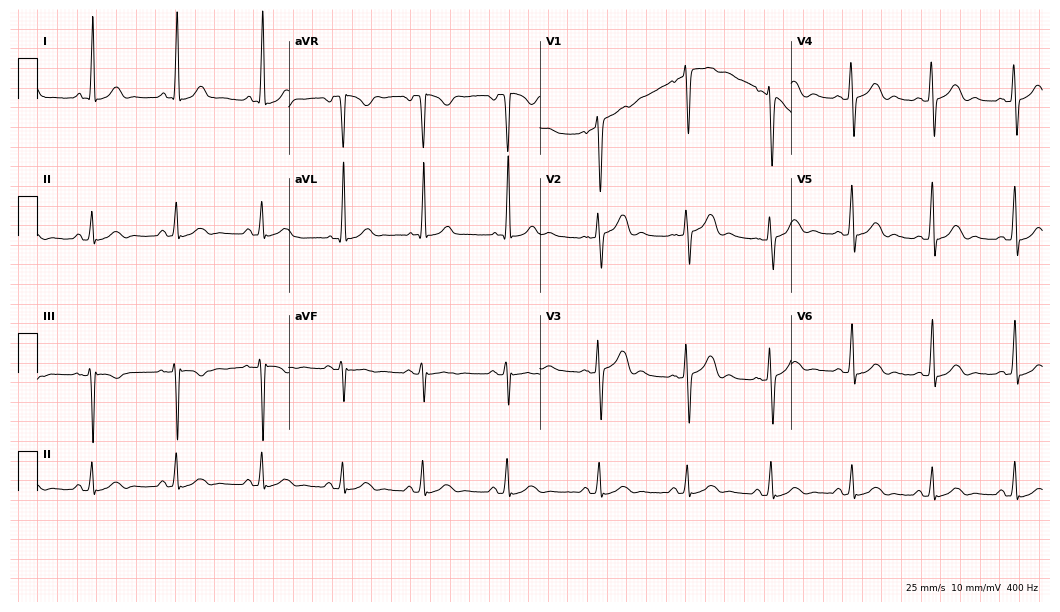
12-lead ECG from a female patient, 42 years old (10.2-second recording at 400 Hz). Recorded interpretation: within normal limits.